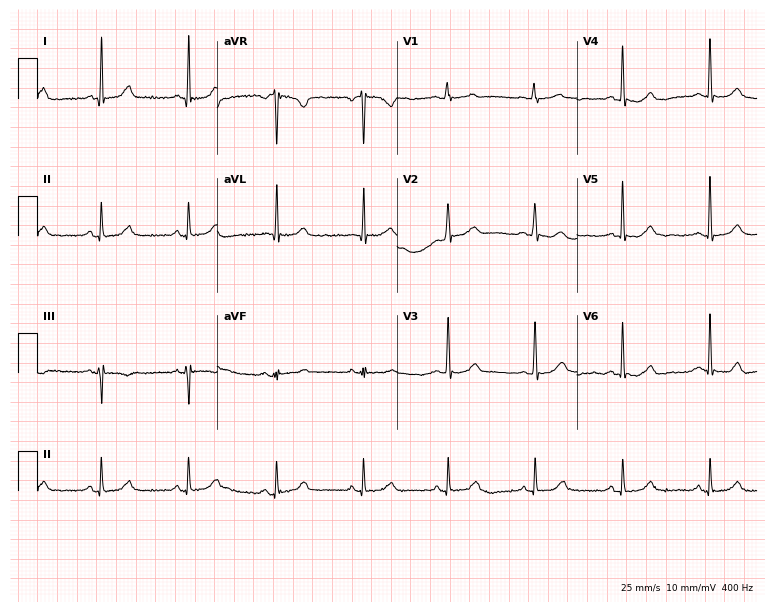
12-lead ECG from a female, 56 years old. Recorded interpretation: within normal limits.